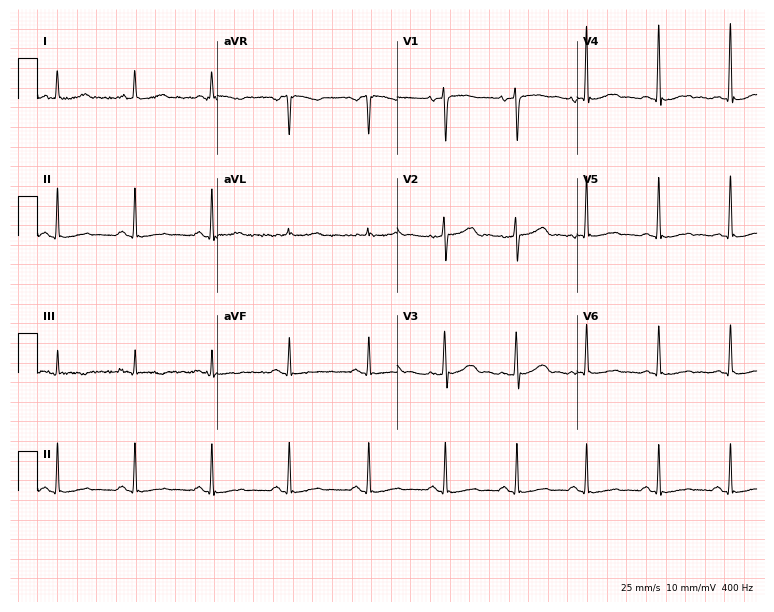
12-lead ECG from a 41-year-old female (7.3-second recording at 400 Hz). No first-degree AV block, right bundle branch block (RBBB), left bundle branch block (LBBB), sinus bradycardia, atrial fibrillation (AF) or sinus tachycardia recorded for this tracing. Findings outside these six are not listed.